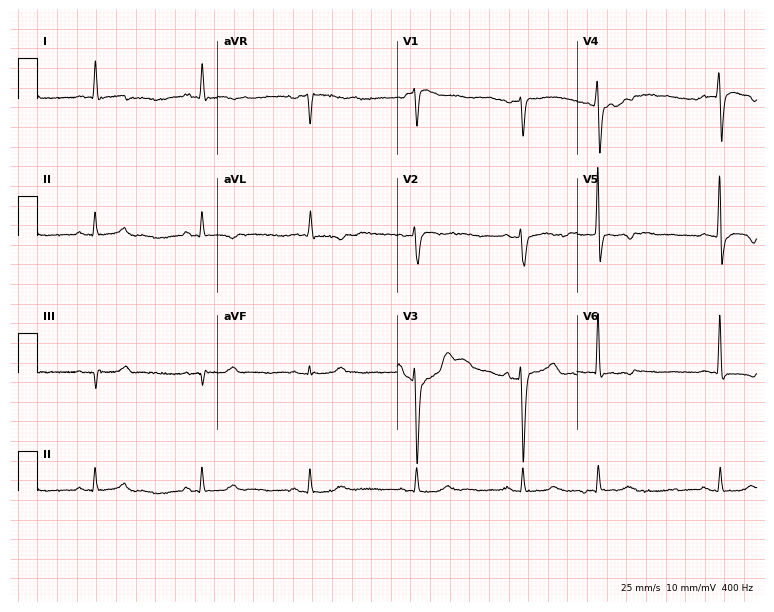
Standard 12-lead ECG recorded from a man, 81 years old (7.3-second recording at 400 Hz). None of these six findings is recorded: first-degree AV block, right bundle branch block, left bundle branch block, sinus bradycardia, atrial fibrillation, sinus tachycardia. Other findings, if any, are not listed.